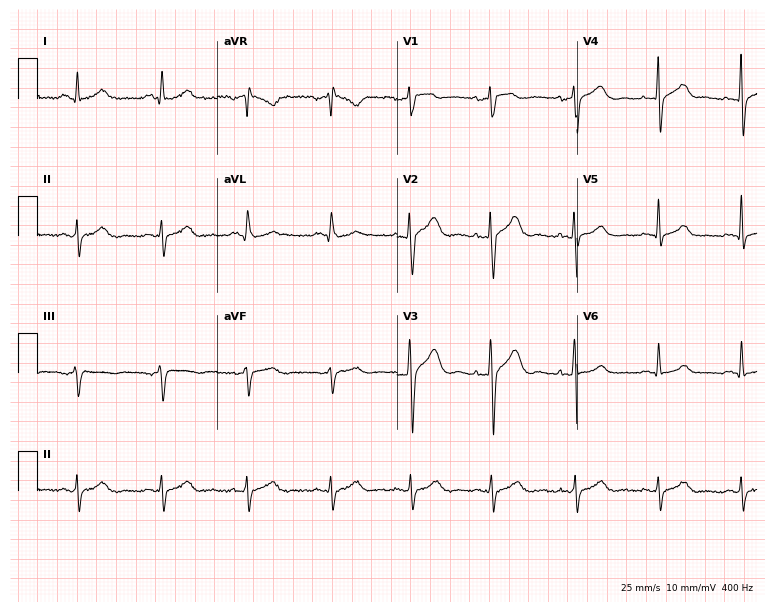
Electrocardiogram (7.3-second recording at 400 Hz), a male, 44 years old. Of the six screened findings (first-degree AV block, right bundle branch block, left bundle branch block, sinus bradycardia, atrial fibrillation, sinus tachycardia), none is recorded. Findings outside these six are not listed.